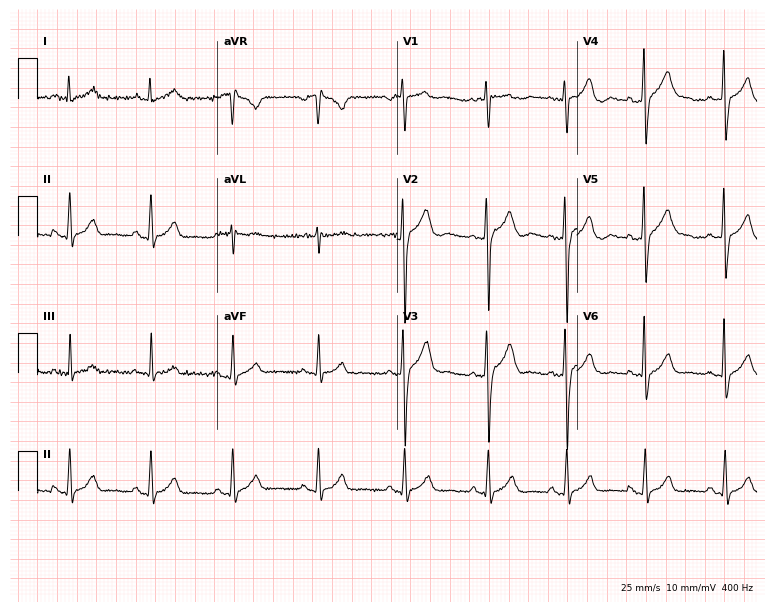
Standard 12-lead ECG recorded from a 33-year-old female patient (7.3-second recording at 400 Hz). Read as a normal ECG.